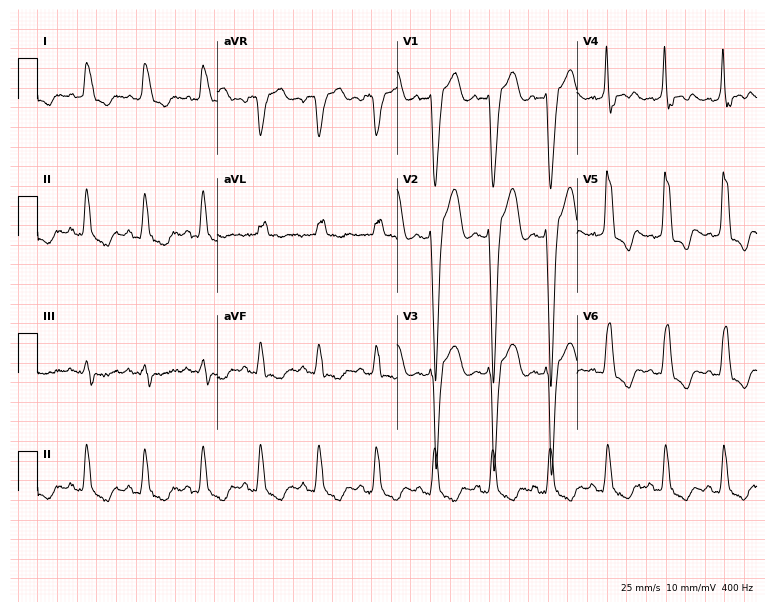
ECG — an 81-year-old female. Findings include left bundle branch block (LBBB), sinus tachycardia (a sinus rate of 100 beats per minute or more).